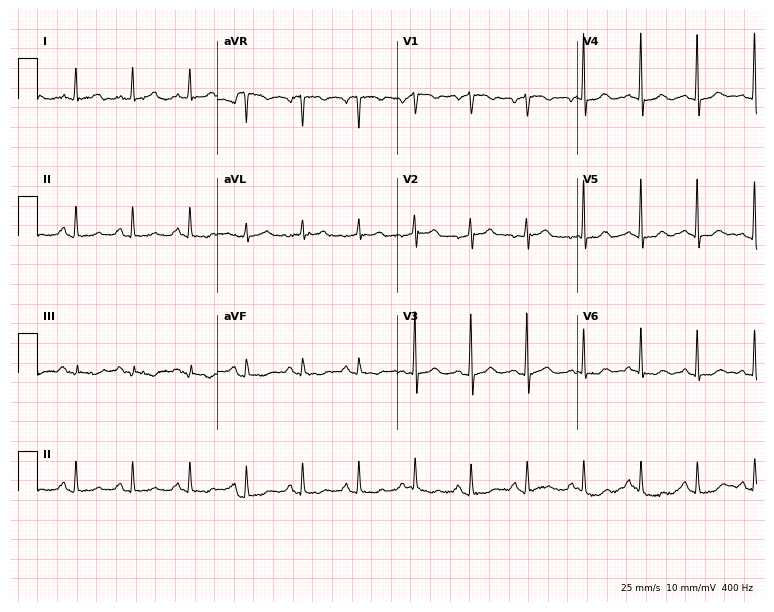
12-lead ECG from a 62-year-old female. Shows sinus tachycardia (a sinus rate of 100 beats per minute or more).